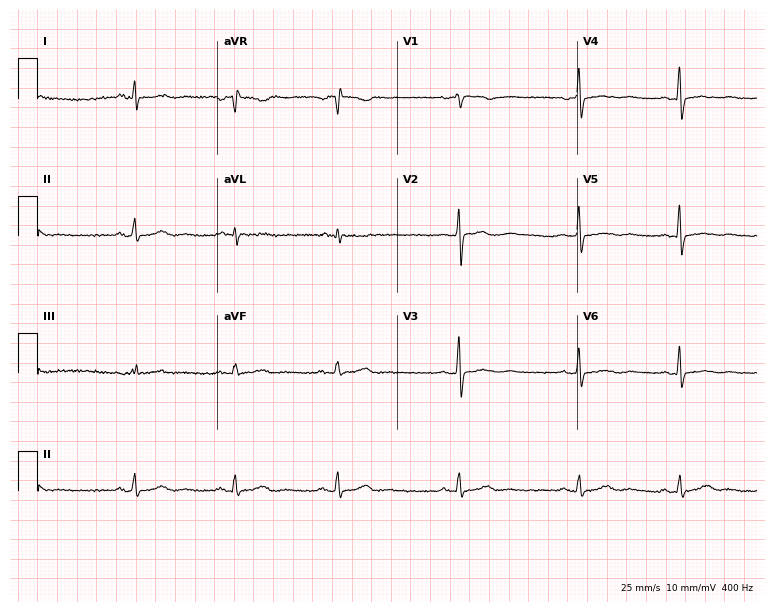
12-lead ECG (7.3-second recording at 400 Hz) from a female patient, 39 years old. Screened for six findings — first-degree AV block, right bundle branch block, left bundle branch block, sinus bradycardia, atrial fibrillation, sinus tachycardia — none is recorded. Other findings, if any, are not listed.